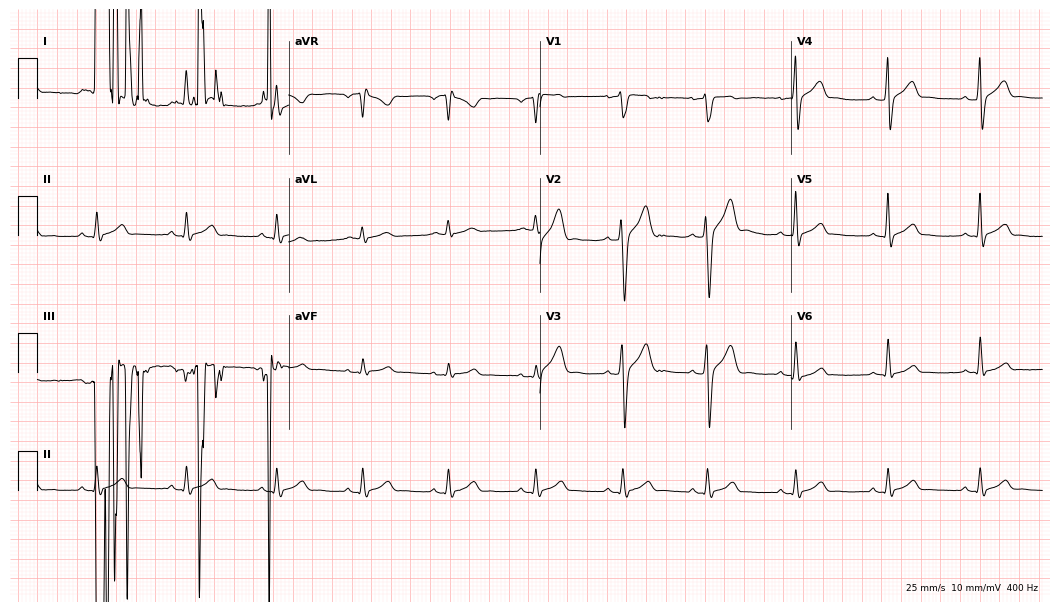
ECG (10.2-second recording at 400 Hz) — a male, 34 years old. Screened for six findings — first-degree AV block, right bundle branch block (RBBB), left bundle branch block (LBBB), sinus bradycardia, atrial fibrillation (AF), sinus tachycardia — none is recorded.